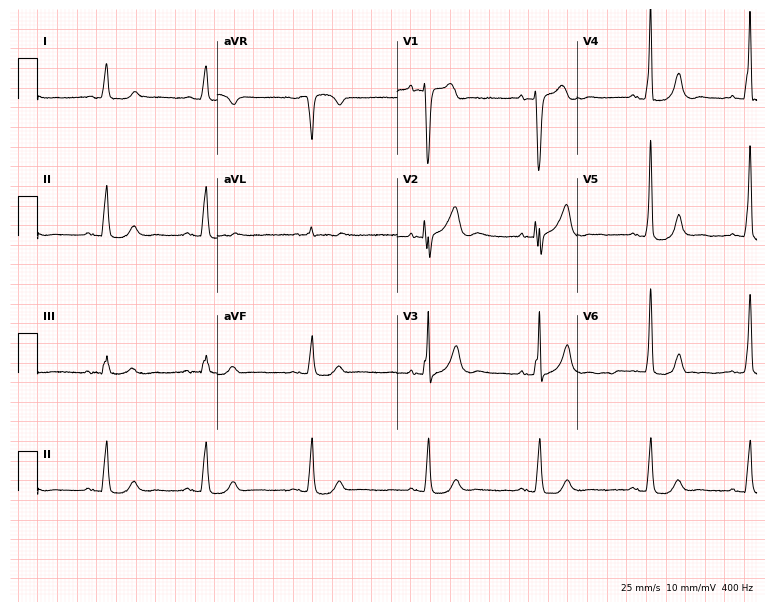
12-lead ECG from a man, 83 years old. Screened for six findings — first-degree AV block, right bundle branch block (RBBB), left bundle branch block (LBBB), sinus bradycardia, atrial fibrillation (AF), sinus tachycardia — none is recorded.